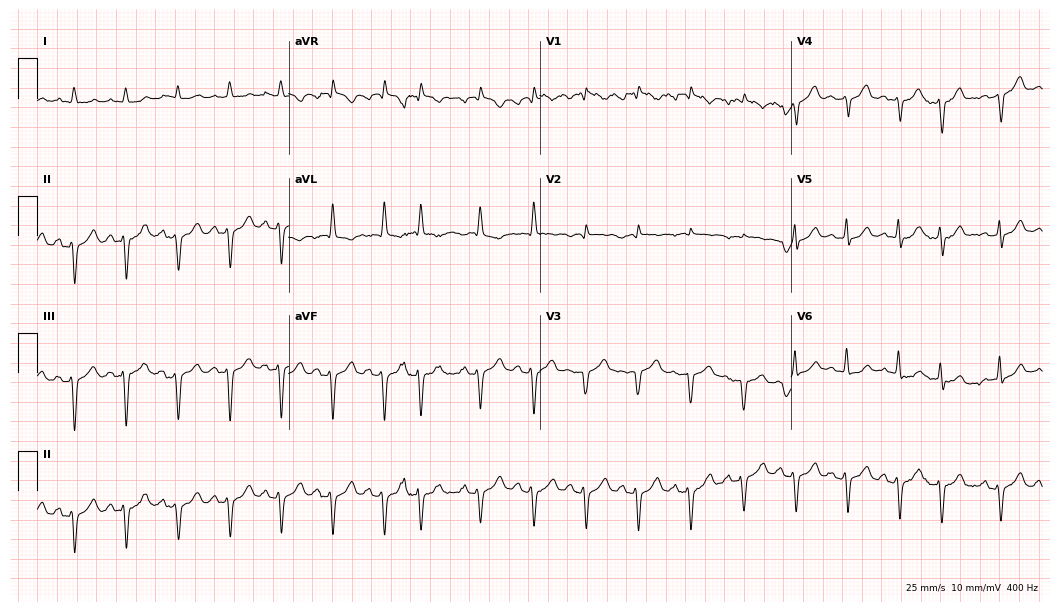
Resting 12-lead electrocardiogram (10.2-second recording at 400 Hz). Patient: a man, 83 years old. The tracing shows sinus tachycardia (a sinus rate of 100 beats per minute or more).